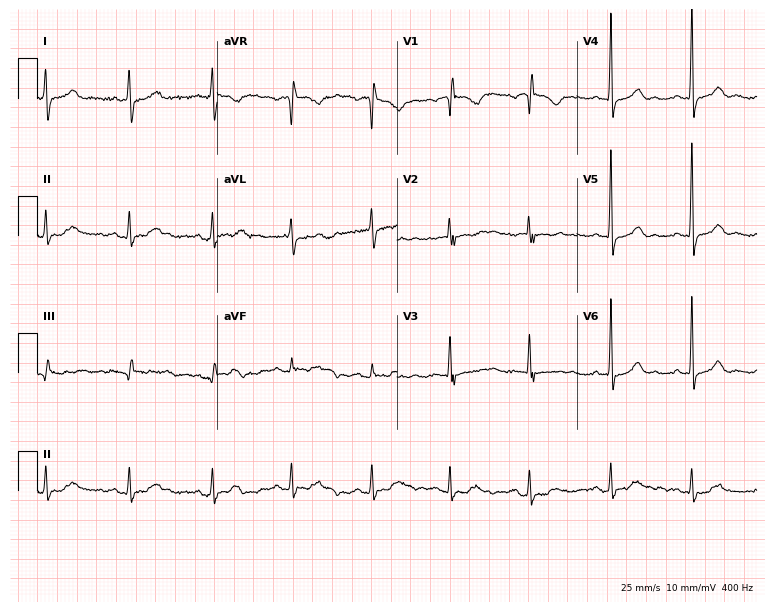
ECG — a female patient, 34 years old. Screened for six findings — first-degree AV block, right bundle branch block, left bundle branch block, sinus bradycardia, atrial fibrillation, sinus tachycardia — none is recorded.